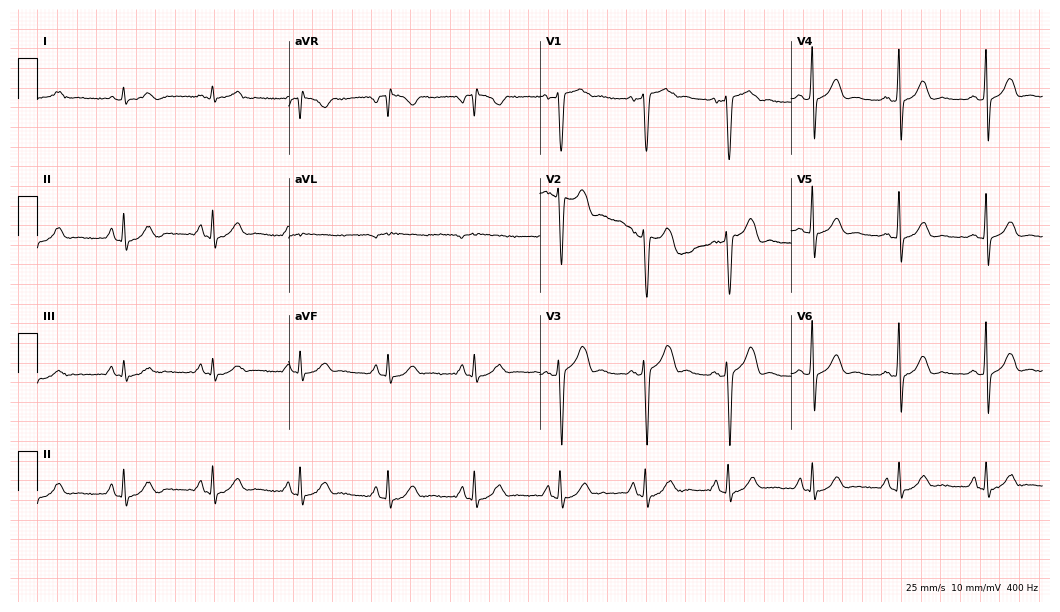
ECG (10.2-second recording at 400 Hz) — a 24-year-old male patient. Screened for six findings — first-degree AV block, right bundle branch block (RBBB), left bundle branch block (LBBB), sinus bradycardia, atrial fibrillation (AF), sinus tachycardia — none is recorded.